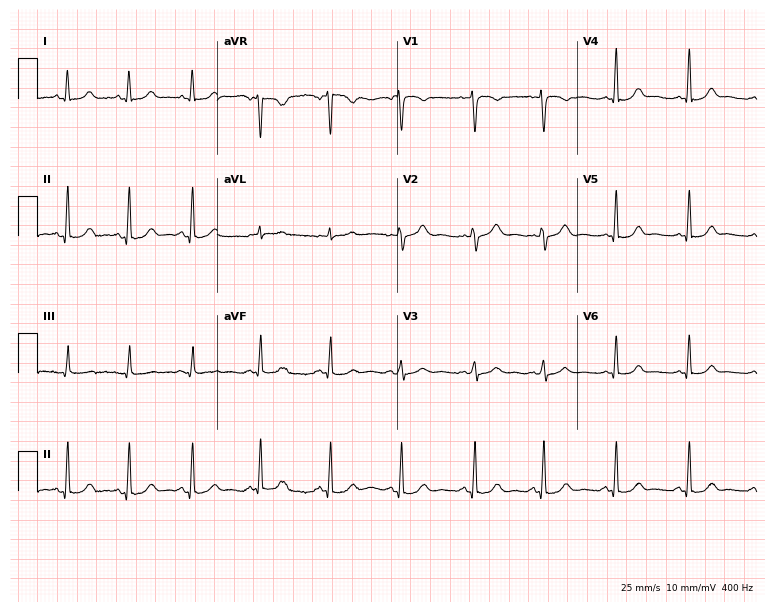
Standard 12-lead ECG recorded from a female, 17 years old (7.3-second recording at 400 Hz). Read as a normal ECG.